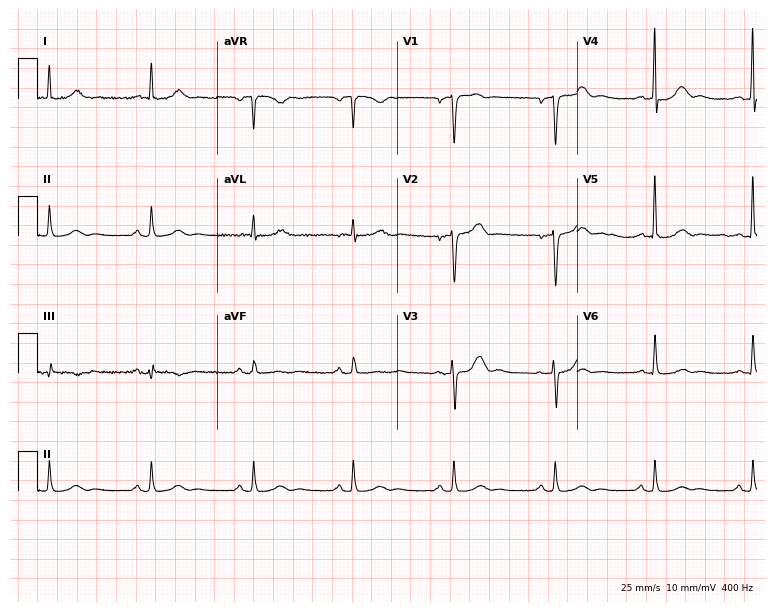
Resting 12-lead electrocardiogram (7.3-second recording at 400 Hz). Patient: a 61-year-old man. Read as a normal ECG.